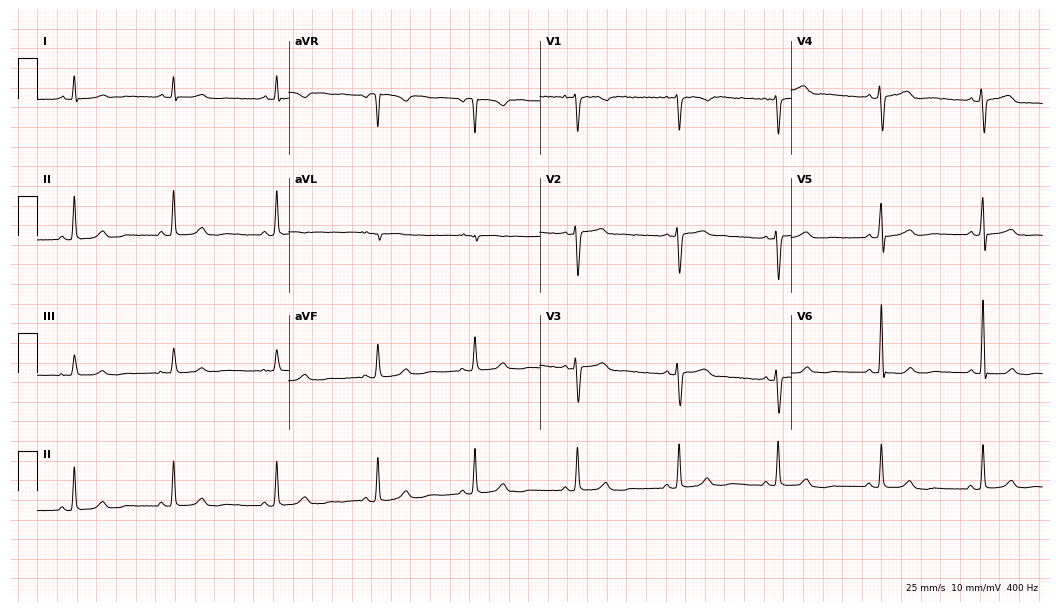
Resting 12-lead electrocardiogram. Patient: a woman, 55 years old. Read as a normal ECG.